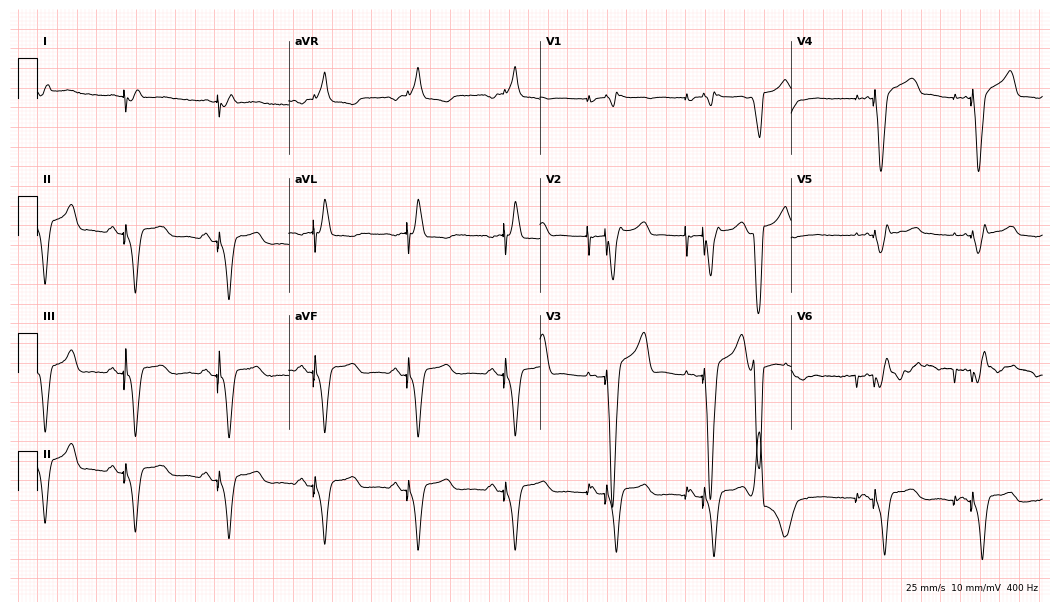
ECG — a 59-year-old male patient. Screened for six findings — first-degree AV block, right bundle branch block (RBBB), left bundle branch block (LBBB), sinus bradycardia, atrial fibrillation (AF), sinus tachycardia — none is recorded.